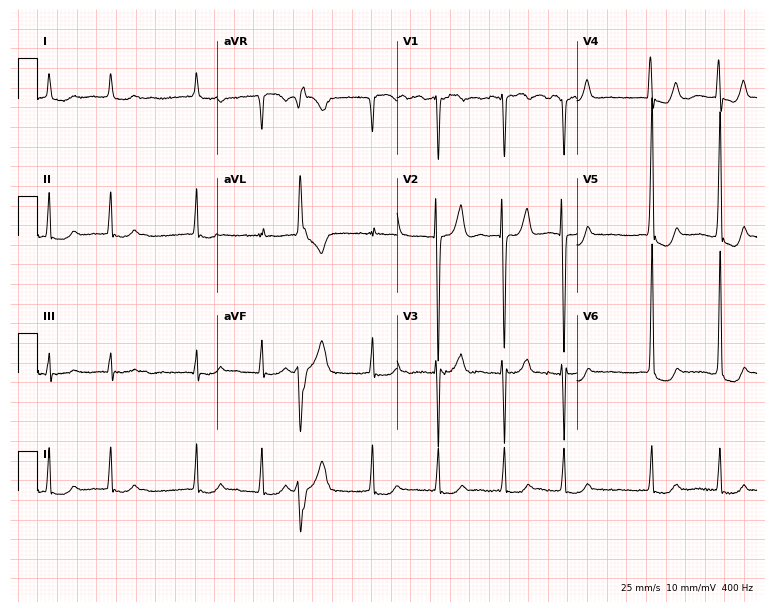
Electrocardiogram, an 83-year-old female. Interpretation includes atrial fibrillation.